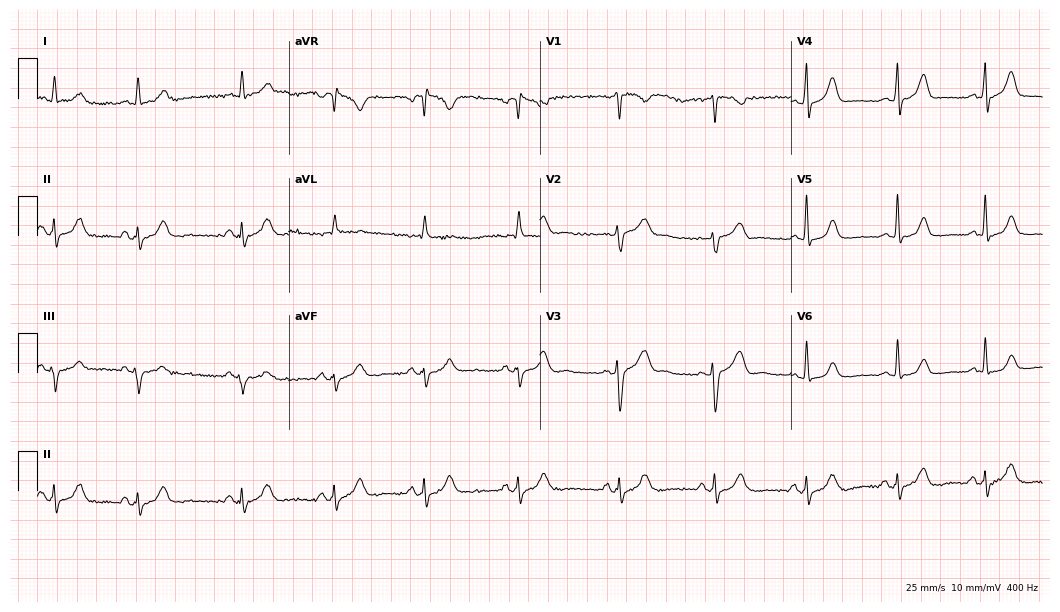
Electrocardiogram, a woman, 57 years old. Overall reading on record: normal ECG.